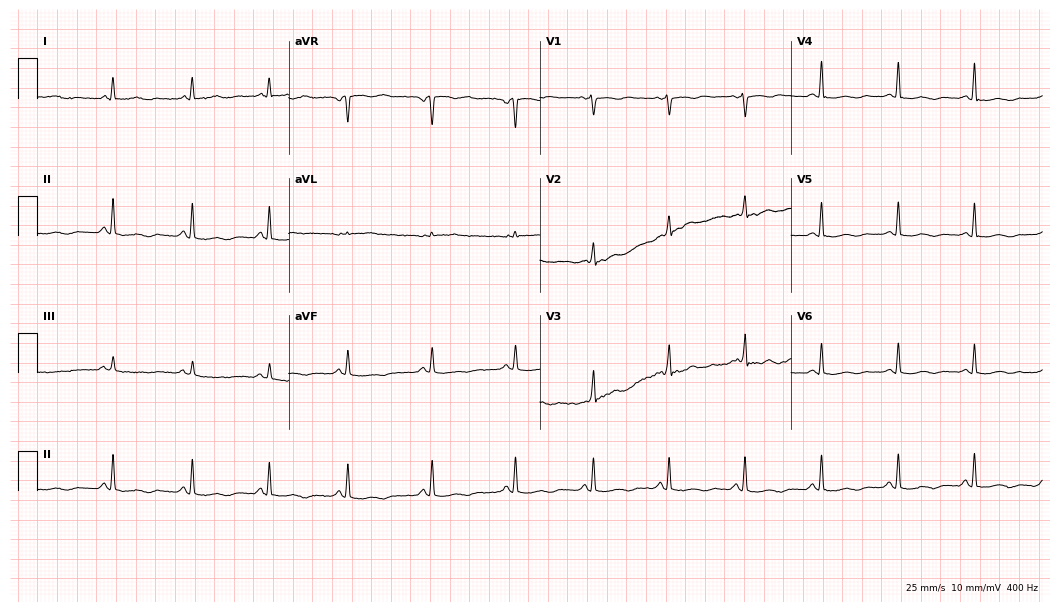
12-lead ECG from a 48-year-old woman (10.2-second recording at 400 Hz). No first-degree AV block, right bundle branch block, left bundle branch block, sinus bradycardia, atrial fibrillation or sinus tachycardia recorded for this tracing. Only these six findings were labelled.